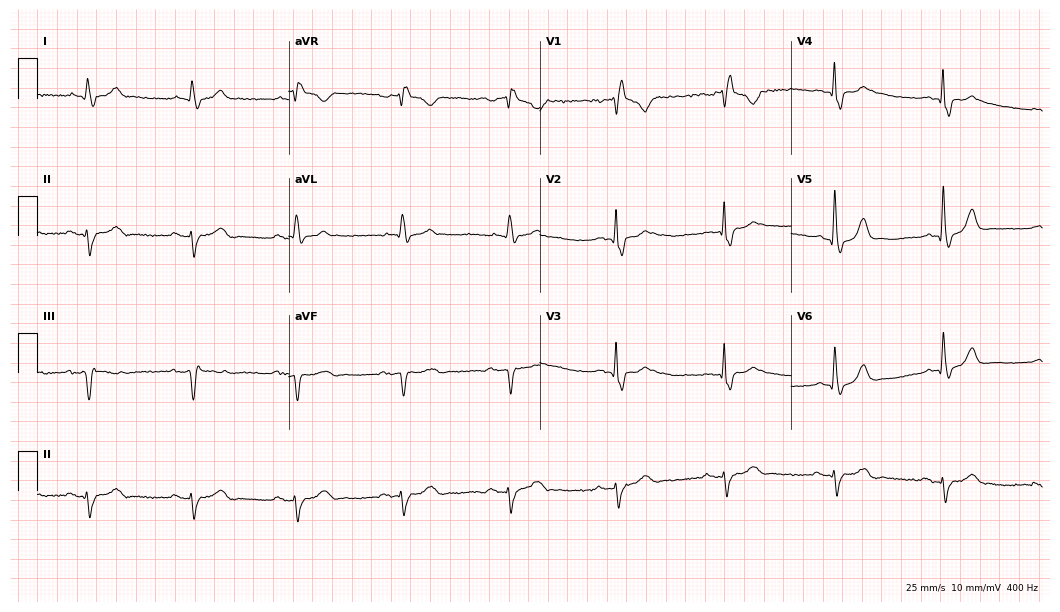
12-lead ECG from a man, 75 years old. Shows atrial fibrillation.